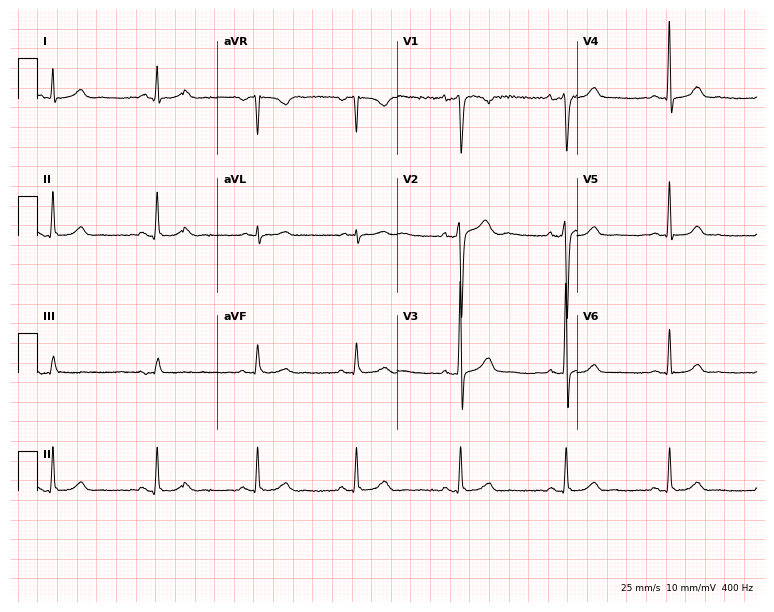
Resting 12-lead electrocardiogram (7.3-second recording at 400 Hz). Patient: a male, 29 years old. Read as a normal ECG.